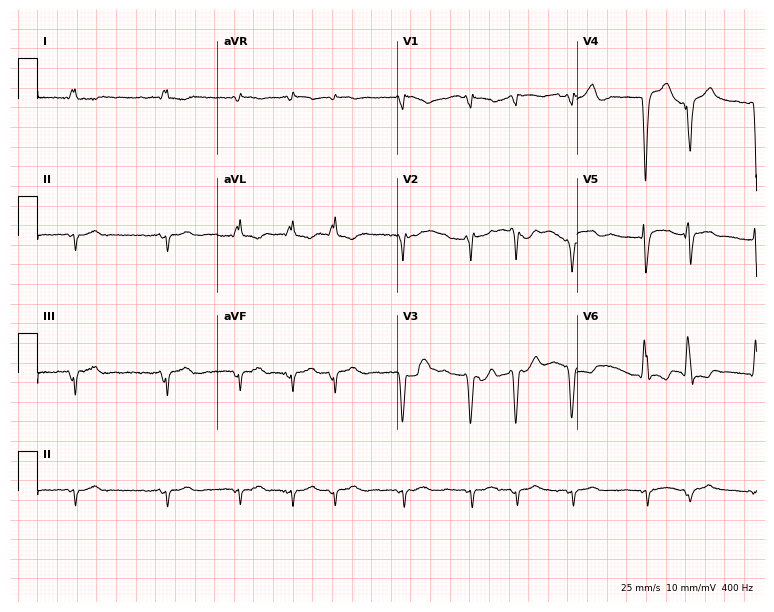
12-lead ECG from a male, 59 years old (7.3-second recording at 400 Hz). No first-degree AV block, right bundle branch block, left bundle branch block, sinus bradycardia, atrial fibrillation or sinus tachycardia recorded for this tracing. Only these six findings were labelled.